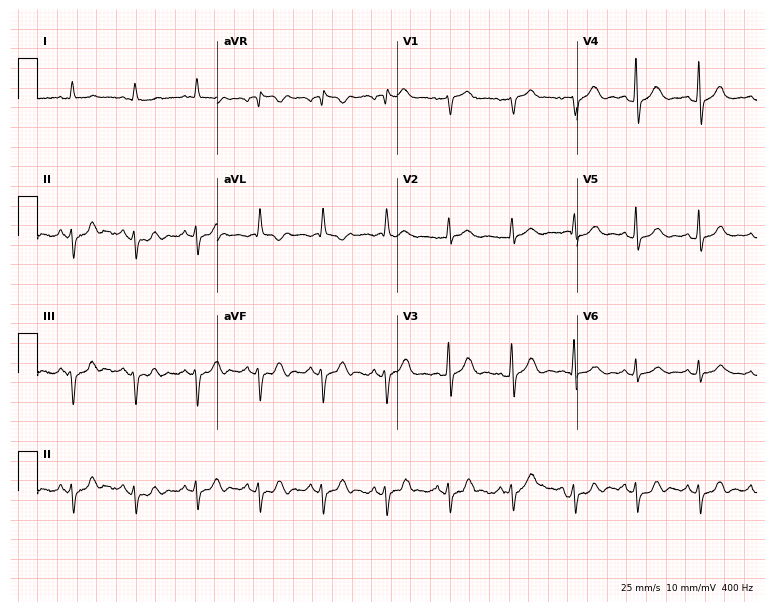
Resting 12-lead electrocardiogram. Patient: an 85-year-old male. None of these six findings is recorded: first-degree AV block, right bundle branch block, left bundle branch block, sinus bradycardia, atrial fibrillation, sinus tachycardia.